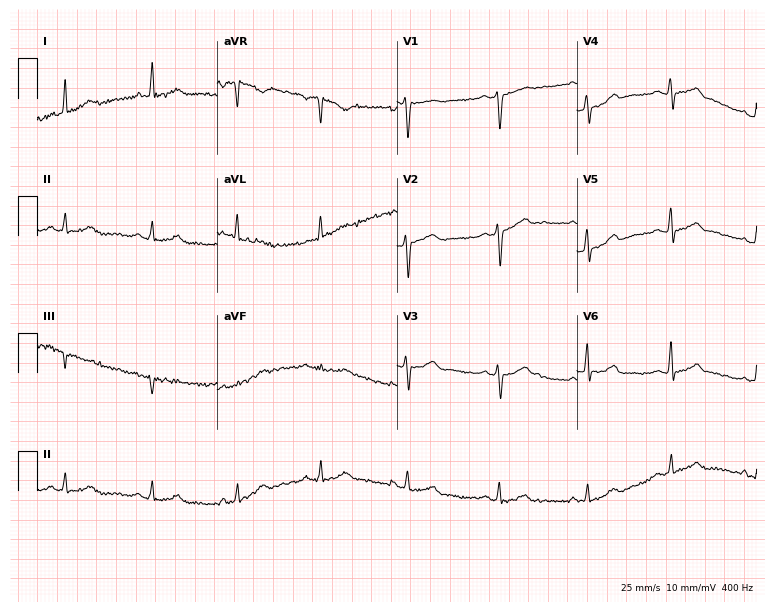
Electrocardiogram, a female patient, 46 years old. Of the six screened findings (first-degree AV block, right bundle branch block (RBBB), left bundle branch block (LBBB), sinus bradycardia, atrial fibrillation (AF), sinus tachycardia), none is recorded. Only these six findings were labelled.